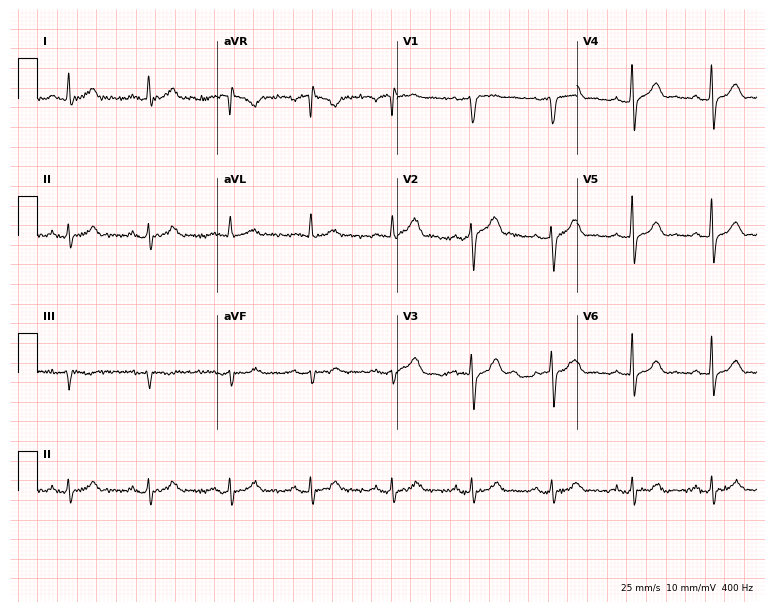
12-lead ECG from a male patient, 58 years old. Recorded interpretation: within normal limits.